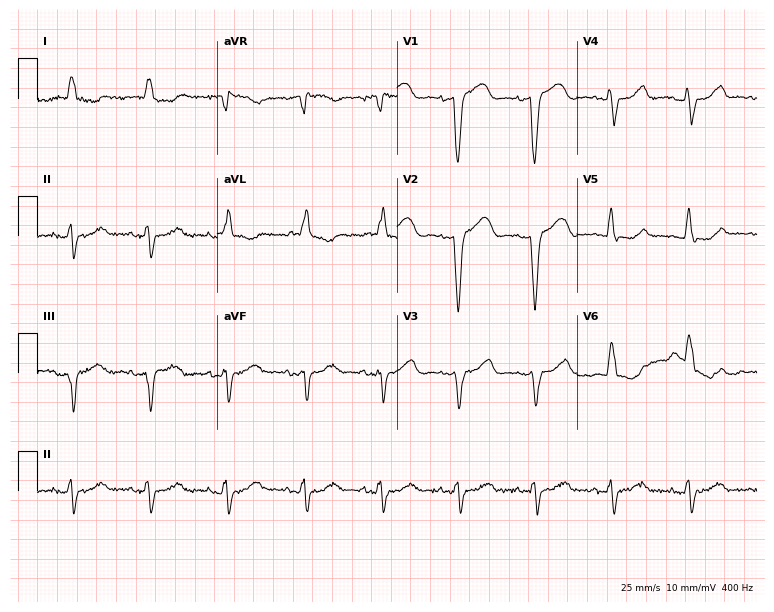
Electrocardiogram (7.3-second recording at 400 Hz), an 83-year-old female. Of the six screened findings (first-degree AV block, right bundle branch block, left bundle branch block, sinus bradycardia, atrial fibrillation, sinus tachycardia), none is recorded.